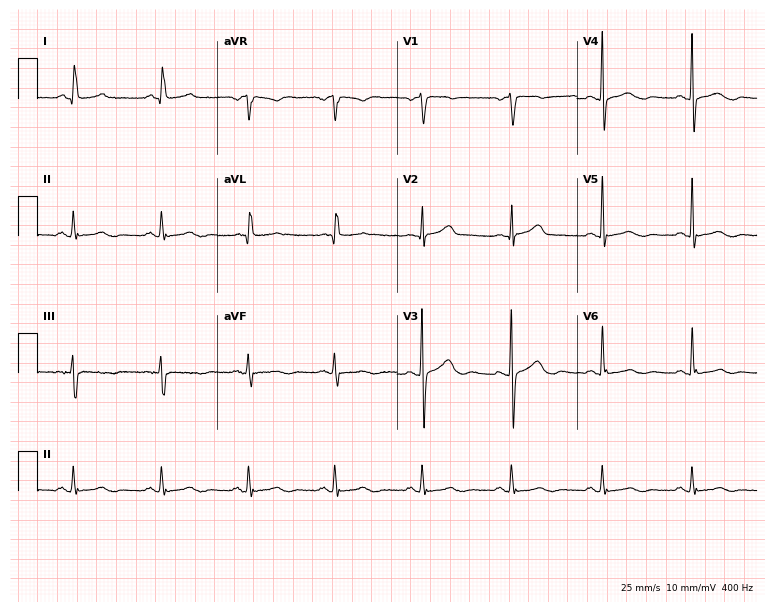
Resting 12-lead electrocardiogram. Patient: a 72-year-old woman. None of these six findings is recorded: first-degree AV block, right bundle branch block (RBBB), left bundle branch block (LBBB), sinus bradycardia, atrial fibrillation (AF), sinus tachycardia. Only these six findings were labelled.